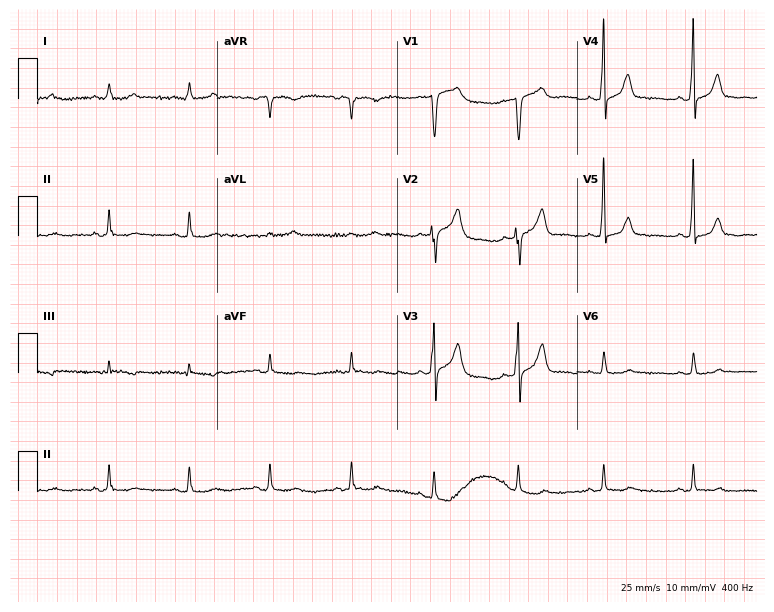
Electrocardiogram, a male patient, 79 years old. Overall reading on record: normal ECG.